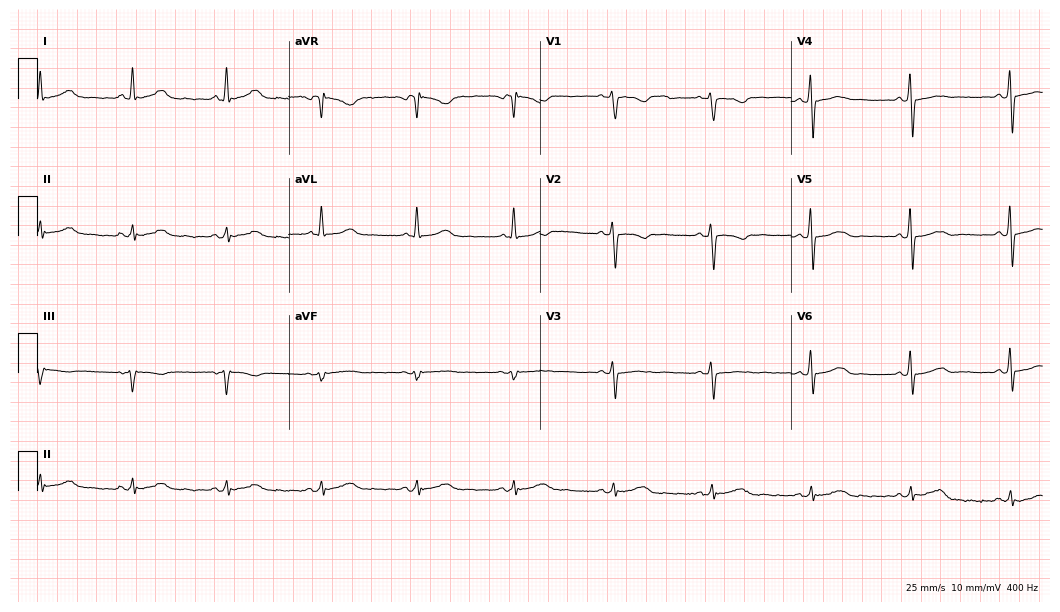
12-lead ECG (10.2-second recording at 400 Hz) from a female, 65 years old. Screened for six findings — first-degree AV block, right bundle branch block (RBBB), left bundle branch block (LBBB), sinus bradycardia, atrial fibrillation (AF), sinus tachycardia — none is recorded.